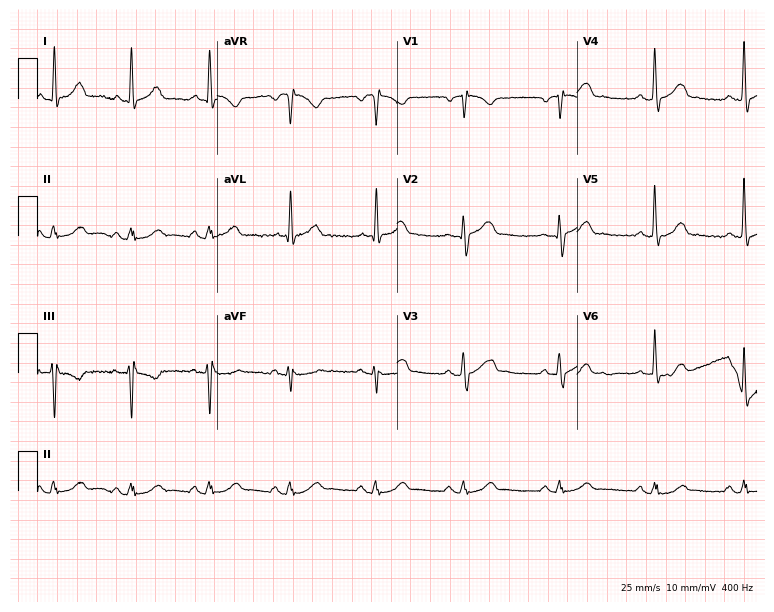
Standard 12-lead ECG recorded from a male, 62 years old (7.3-second recording at 400 Hz). Read as a normal ECG.